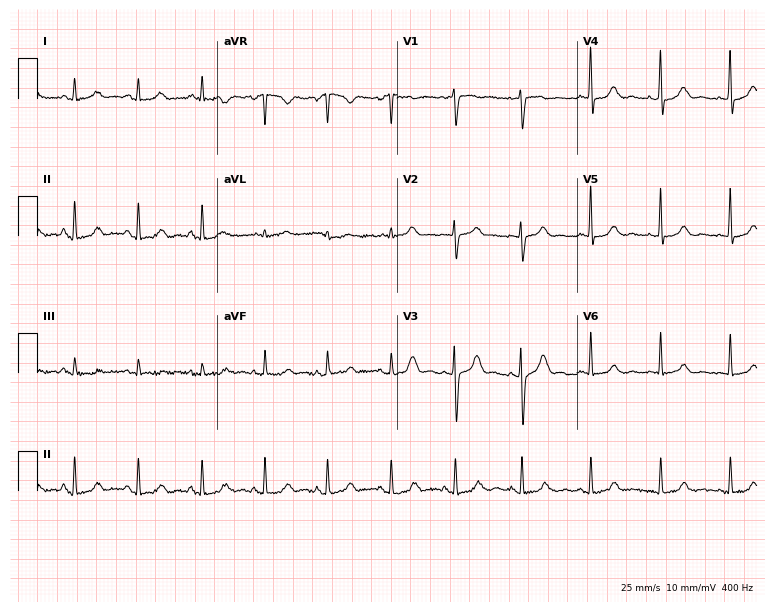
12-lead ECG from a 45-year-old female (7.3-second recording at 400 Hz). Recorded interpretation: within normal limits.